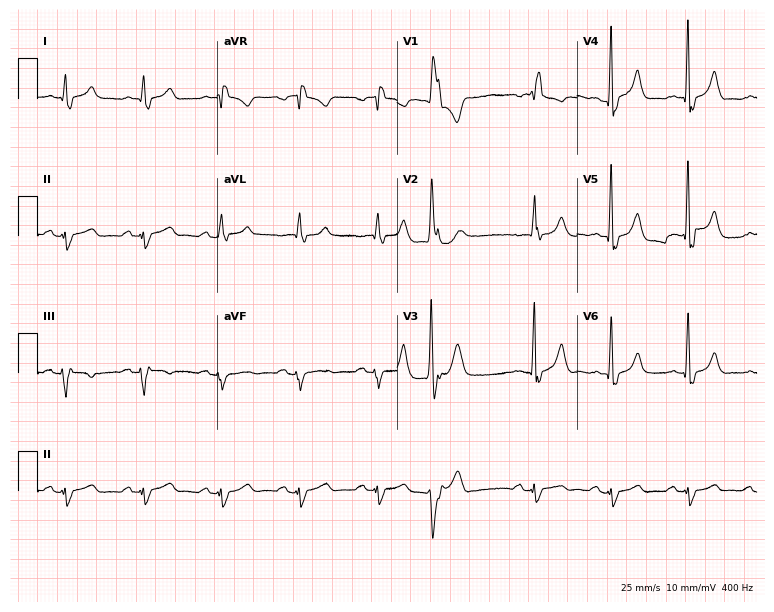
Standard 12-lead ECG recorded from a 75-year-old man (7.3-second recording at 400 Hz). The tracing shows right bundle branch block.